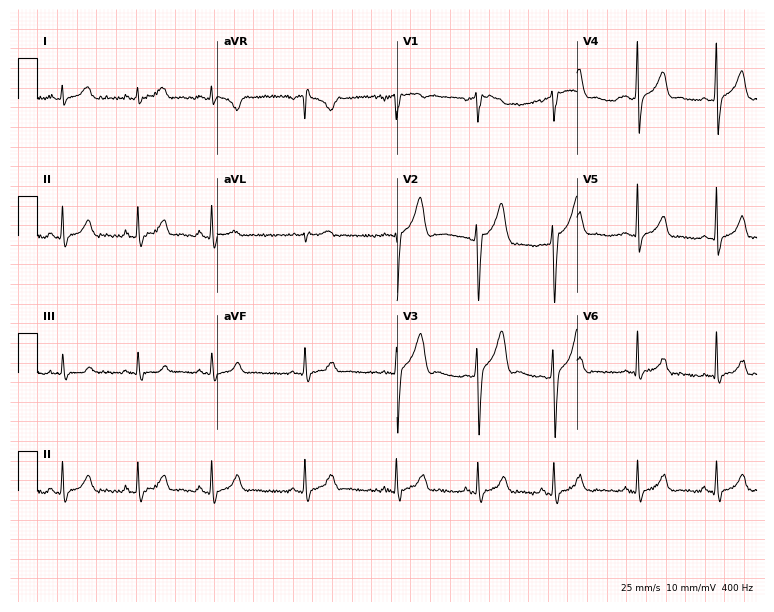
ECG — a 30-year-old male. Screened for six findings — first-degree AV block, right bundle branch block, left bundle branch block, sinus bradycardia, atrial fibrillation, sinus tachycardia — none is recorded.